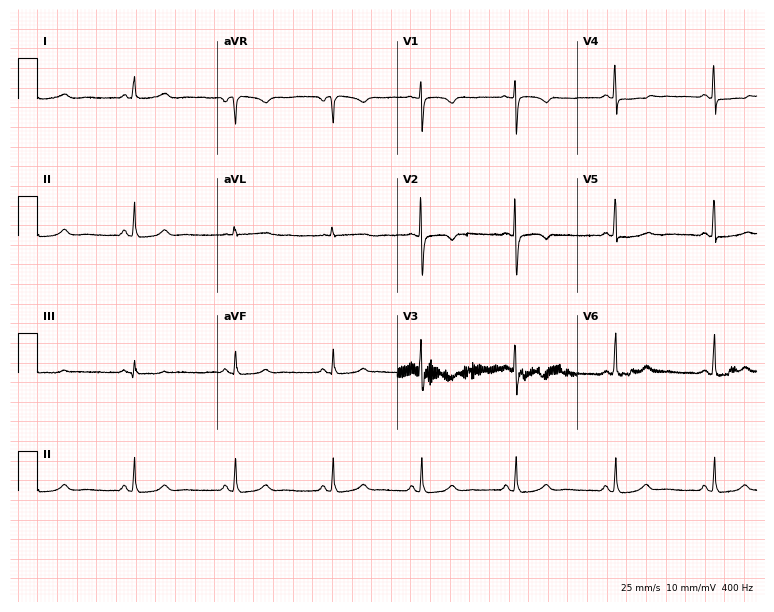
ECG — a 57-year-old female. Screened for six findings — first-degree AV block, right bundle branch block, left bundle branch block, sinus bradycardia, atrial fibrillation, sinus tachycardia — none is recorded. Only these six findings were labelled.